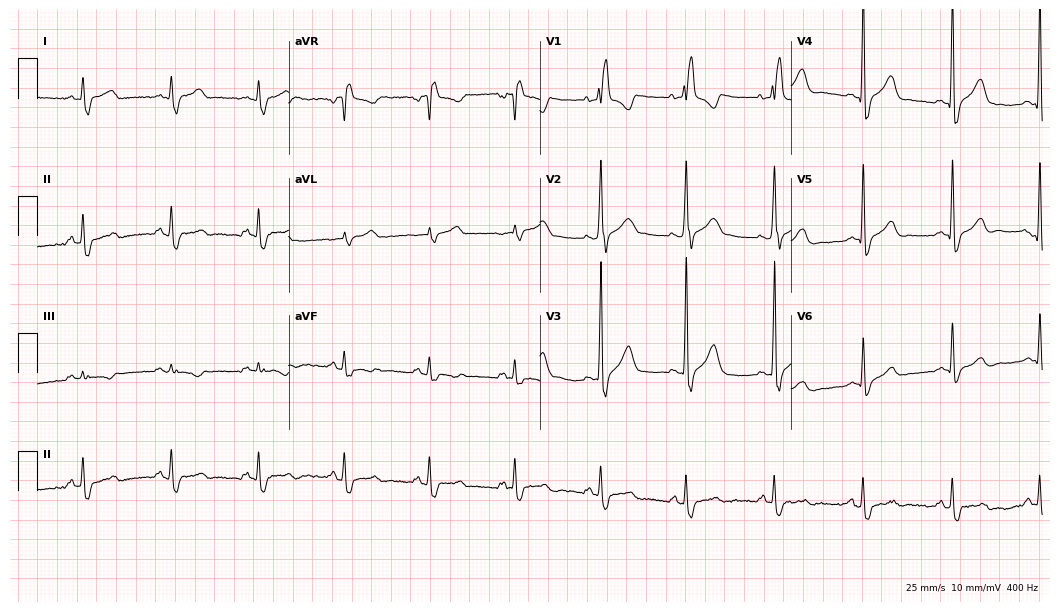
ECG — a 33-year-old male patient. Findings include right bundle branch block.